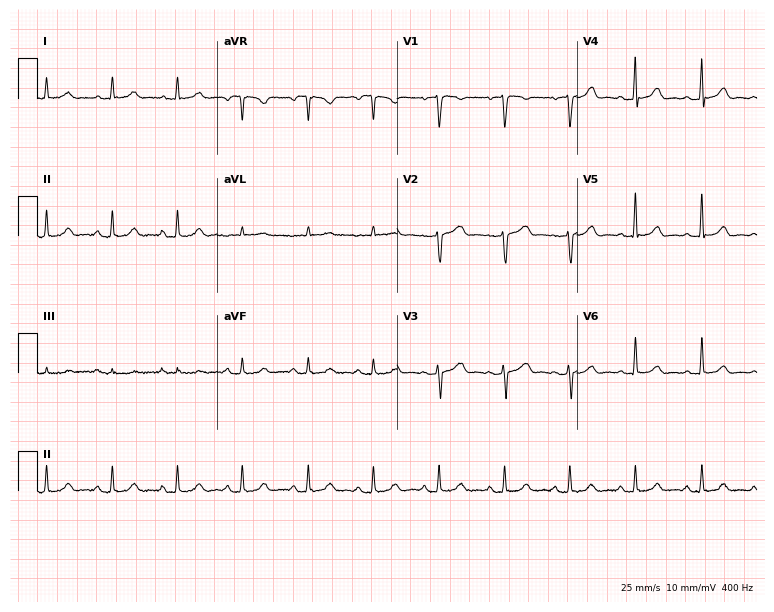
12-lead ECG (7.3-second recording at 400 Hz) from a 38-year-old female patient. Labelled as a normal ECG.